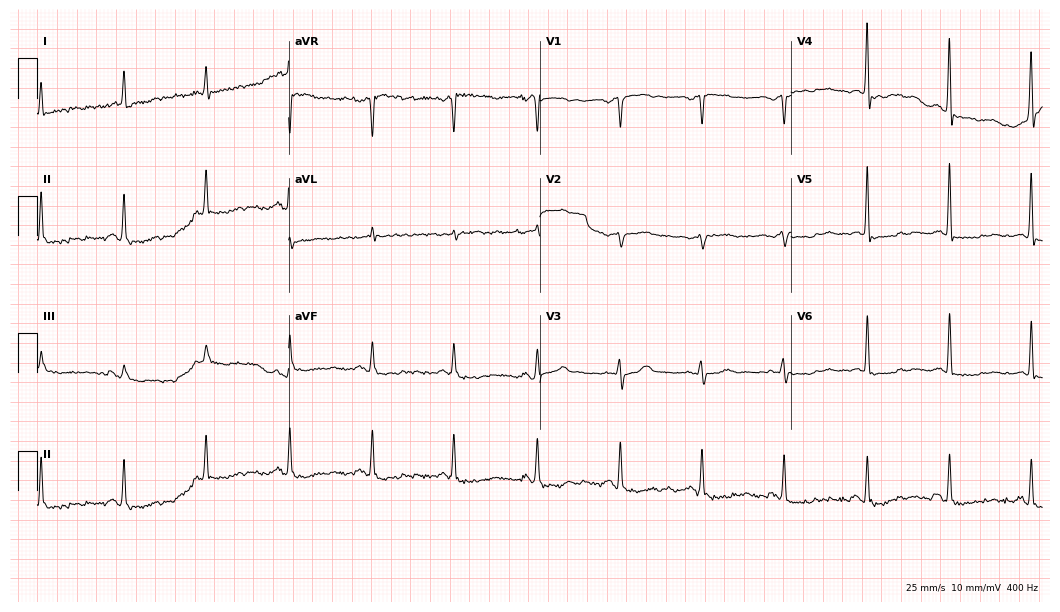
12-lead ECG from a woman, 74 years old. Labelled as a normal ECG.